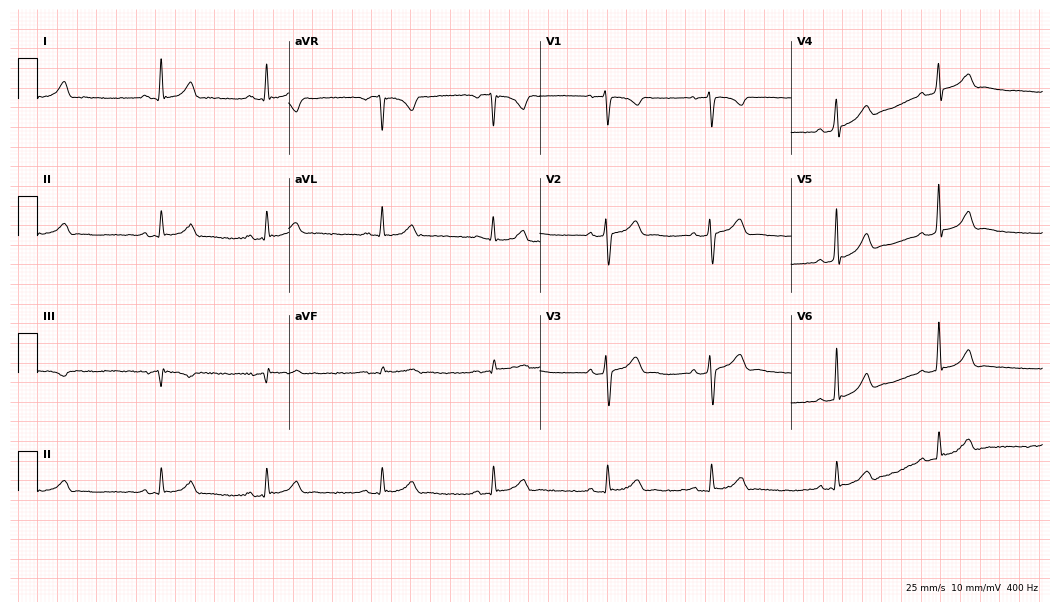
Electrocardiogram (10.2-second recording at 400 Hz), a 35-year-old male patient. Overall reading on record: normal ECG.